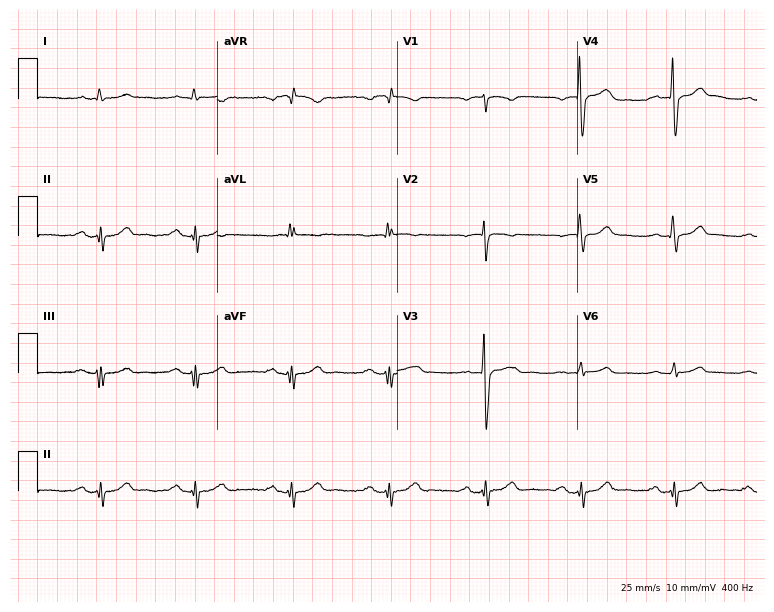
Standard 12-lead ECG recorded from a 68-year-old male patient (7.3-second recording at 400 Hz). Read as a normal ECG.